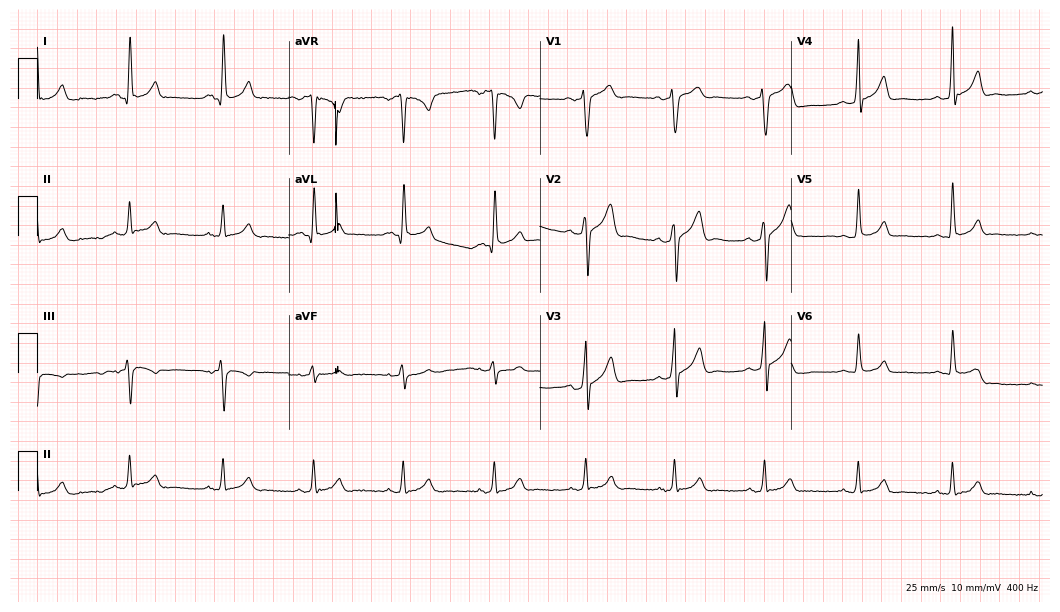
Resting 12-lead electrocardiogram (10.2-second recording at 400 Hz). Patient: a man, 37 years old. None of these six findings is recorded: first-degree AV block, right bundle branch block, left bundle branch block, sinus bradycardia, atrial fibrillation, sinus tachycardia. Findings outside these six are not listed.